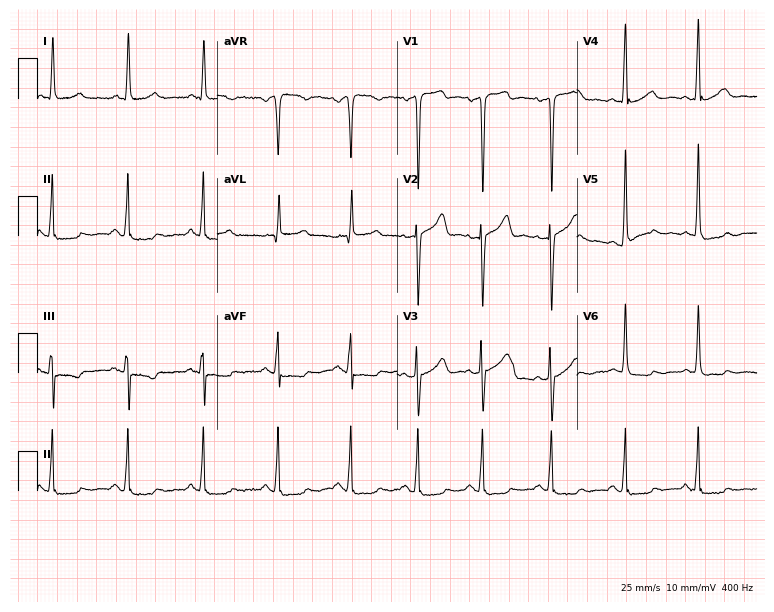
12-lead ECG (7.3-second recording at 400 Hz) from a male, 60 years old. Screened for six findings — first-degree AV block, right bundle branch block, left bundle branch block, sinus bradycardia, atrial fibrillation, sinus tachycardia — none is recorded.